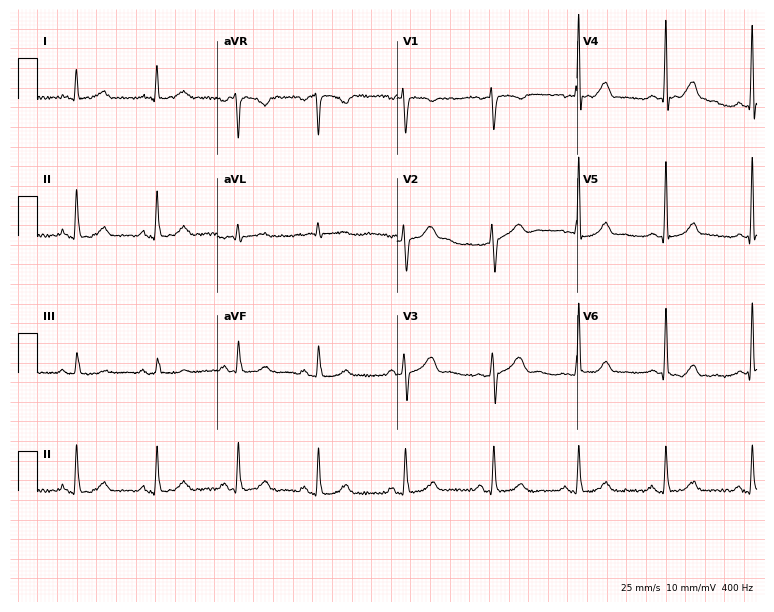
Resting 12-lead electrocardiogram (7.3-second recording at 400 Hz). Patient: a female, 48 years old. None of these six findings is recorded: first-degree AV block, right bundle branch block, left bundle branch block, sinus bradycardia, atrial fibrillation, sinus tachycardia.